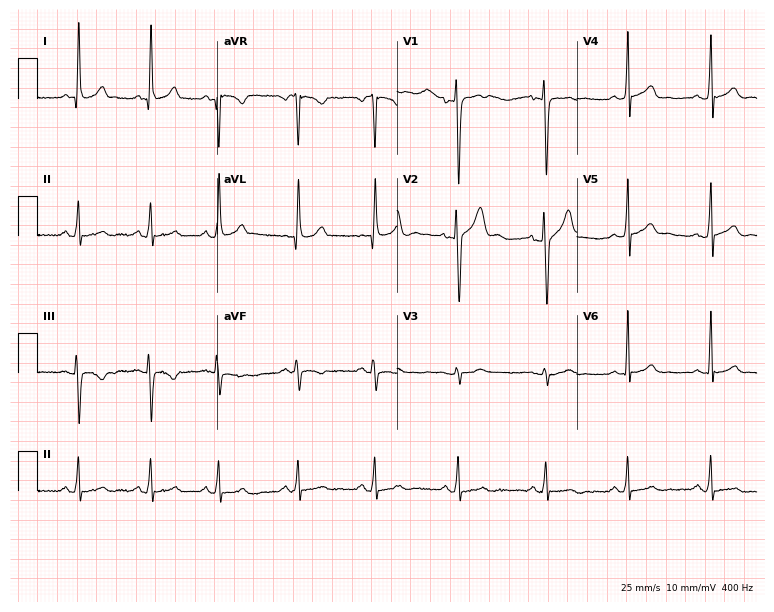
Electrocardiogram, a female patient, 37 years old. Of the six screened findings (first-degree AV block, right bundle branch block, left bundle branch block, sinus bradycardia, atrial fibrillation, sinus tachycardia), none is recorded.